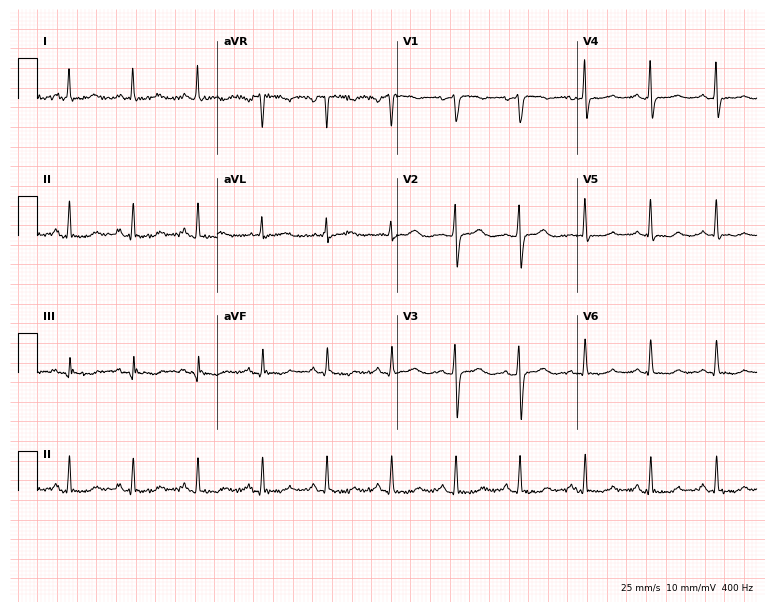
Electrocardiogram (7.3-second recording at 400 Hz), a 61-year-old female patient. Of the six screened findings (first-degree AV block, right bundle branch block (RBBB), left bundle branch block (LBBB), sinus bradycardia, atrial fibrillation (AF), sinus tachycardia), none is recorded. Other findings, if any, are not listed.